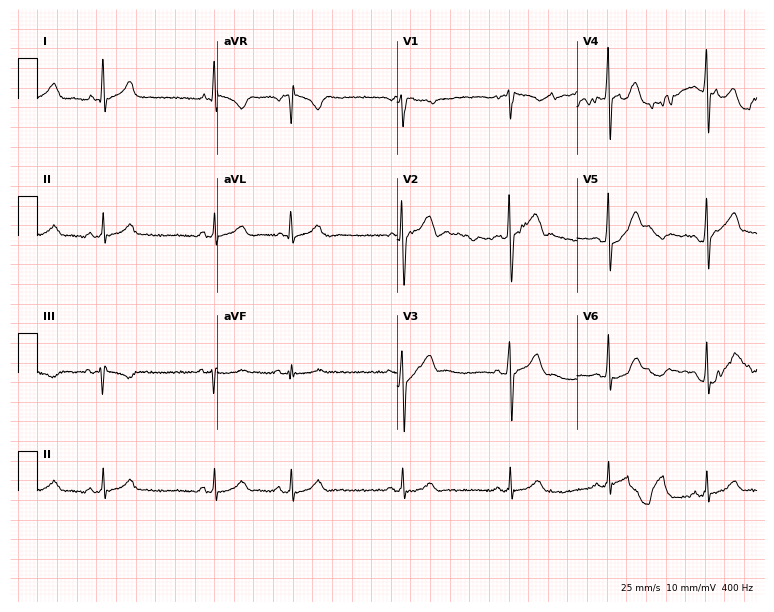
Resting 12-lead electrocardiogram. Patient: a male, 24 years old. Read as a normal ECG.